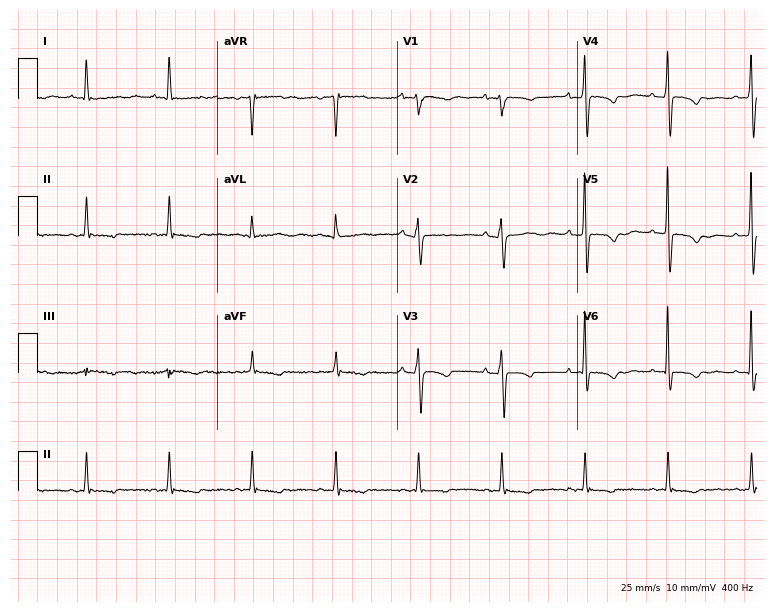
Standard 12-lead ECG recorded from a 54-year-old woman (7.3-second recording at 400 Hz). None of these six findings is recorded: first-degree AV block, right bundle branch block, left bundle branch block, sinus bradycardia, atrial fibrillation, sinus tachycardia.